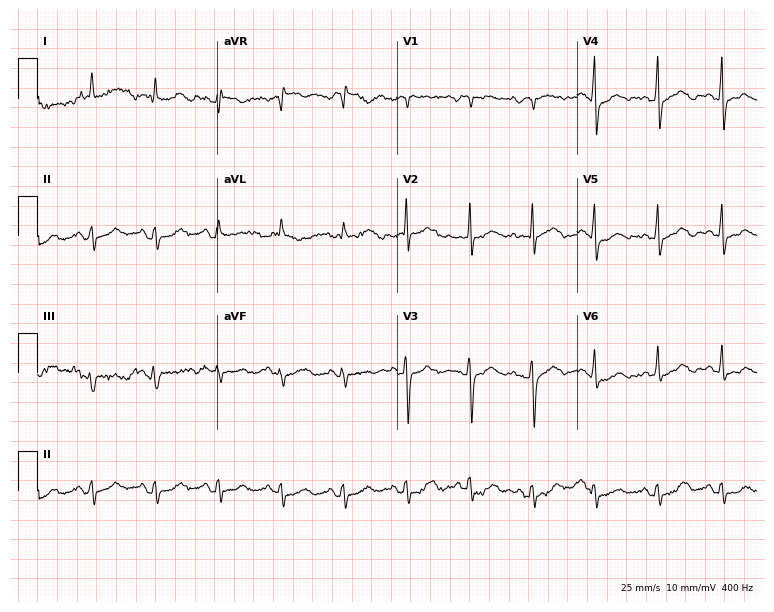
Resting 12-lead electrocardiogram (7.3-second recording at 400 Hz). Patient: a 68-year-old woman. None of these six findings is recorded: first-degree AV block, right bundle branch block (RBBB), left bundle branch block (LBBB), sinus bradycardia, atrial fibrillation (AF), sinus tachycardia. Other findings, if any, are not listed.